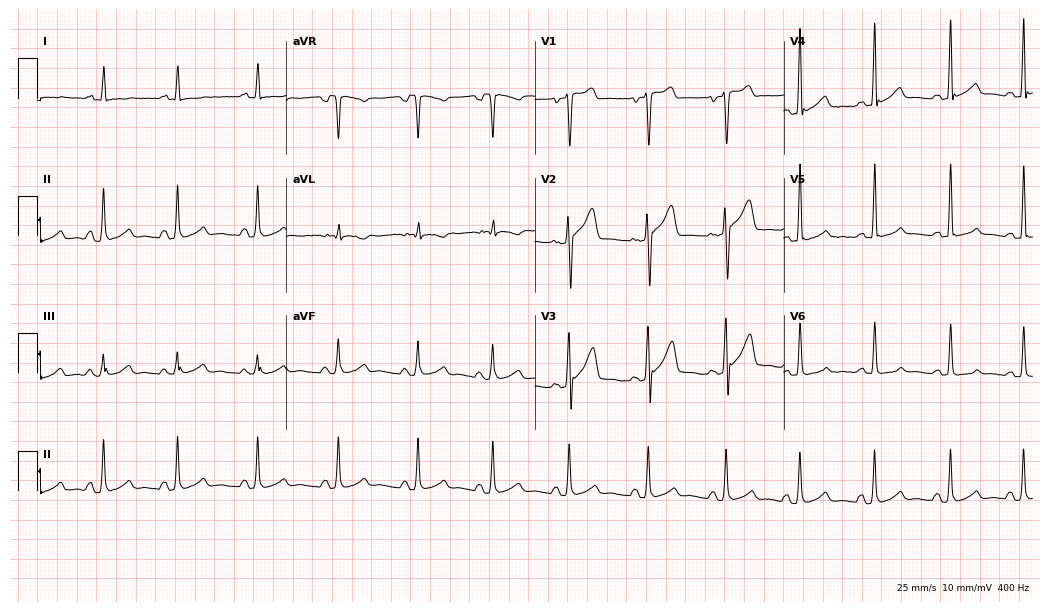
Resting 12-lead electrocardiogram. Patient: a 31-year-old male. None of these six findings is recorded: first-degree AV block, right bundle branch block (RBBB), left bundle branch block (LBBB), sinus bradycardia, atrial fibrillation (AF), sinus tachycardia. Other findings, if any, are not listed.